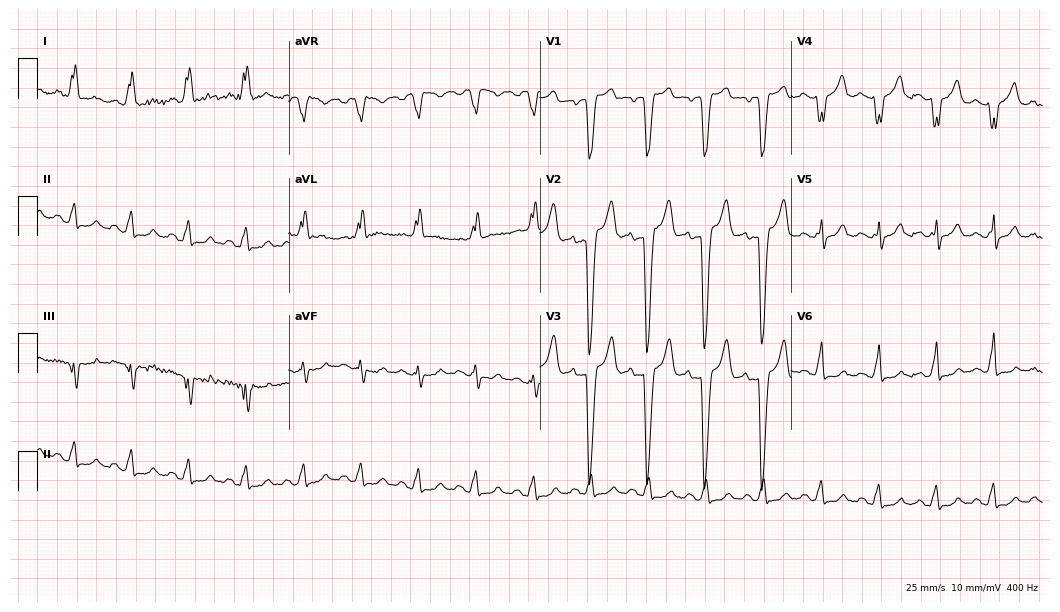
ECG (10.2-second recording at 400 Hz) — a 51-year-old woman. Findings include left bundle branch block, sinus tachycardia (a sinus rate of 100 beats per minute or more).